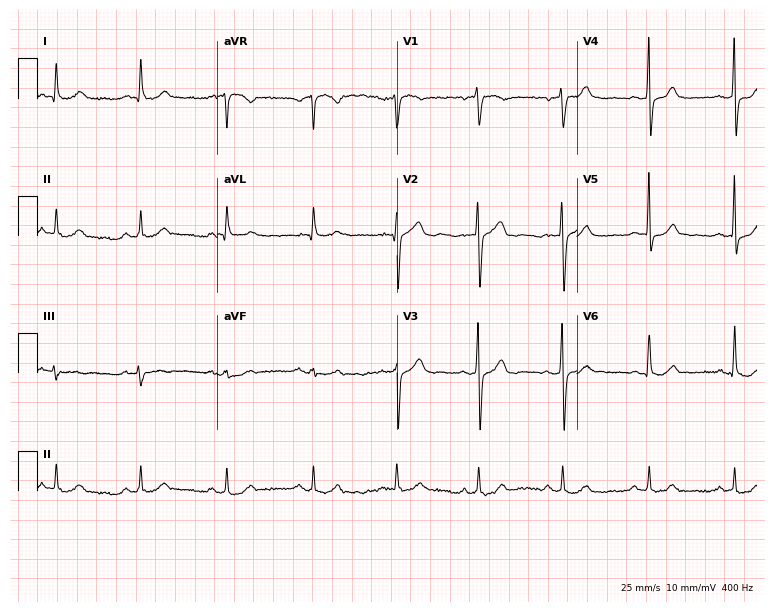
Resting 12-lead electrocardiogram (7.3-second recording at 400 Hz). Patient: a 54-year-old man. Read as a normal ECG.